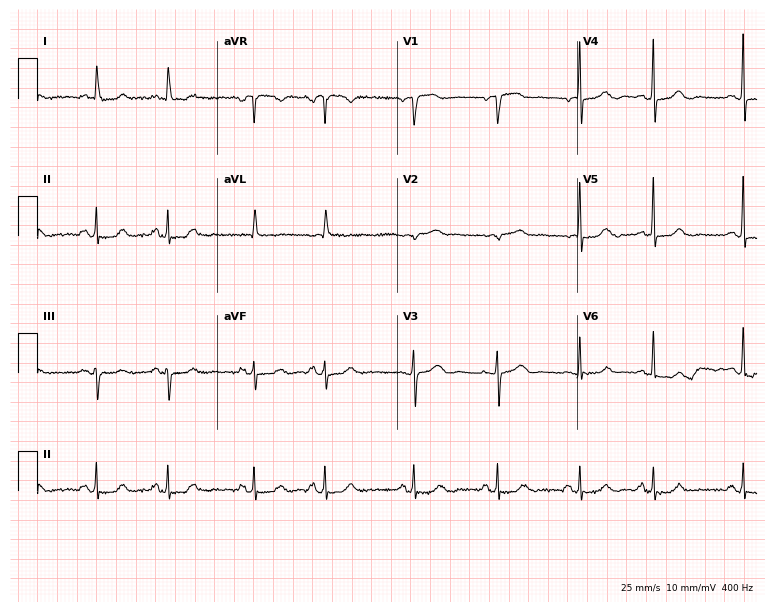
Standard 12-lead ECG recorded from a female patient, 71 years old. None of these six findings is recorded: first-degree AV block, right bundle branch block (RBBB), left bundle branch block (LBBB), sinus bradycardia, atrial fibrillation (AF), sinus tachycardia. Findings outside these six are not listed.